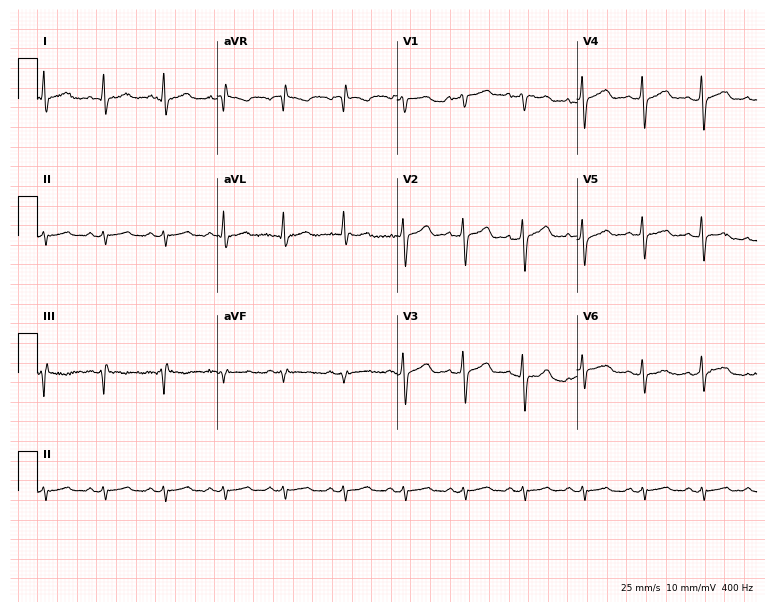
ECG (7.3-second recording at 400 Hz) — a 50-year-old male. Screened for six findings — first-degree AV block, right bundle branch block, left bundle branch block, sinus bradycardia, atrial fibrillation, sinus tachycardia — none is recorded.